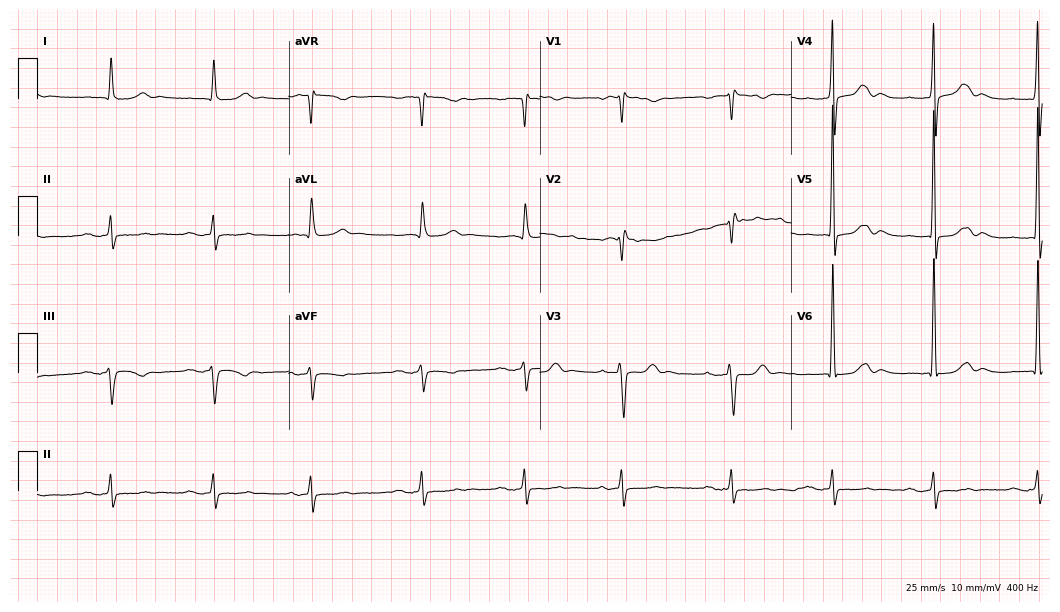
ECG — a man, 78 years old. Screened for six findings — first-degree AV block, right bundle branch block (RBBB), left bundle branch block (LBBB), sinus bradycardia, atrial fibrillation (AF), sinus tachycardia — none is recorded. Other findings, if any, are not listed.